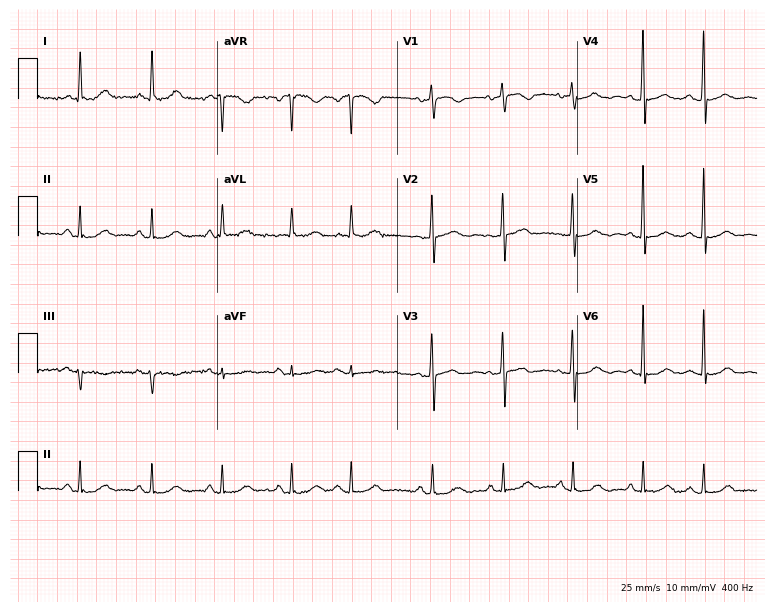
Standard 12-lead ECG recorded from a female patient, 63 years old. None of these six findings is recorded: first-degree AV block, right bundle branch block, left bundle branch block, sinus bradycardia, atrial fibrillation, sinus tachycardia. Other findings, if any, are not listed.